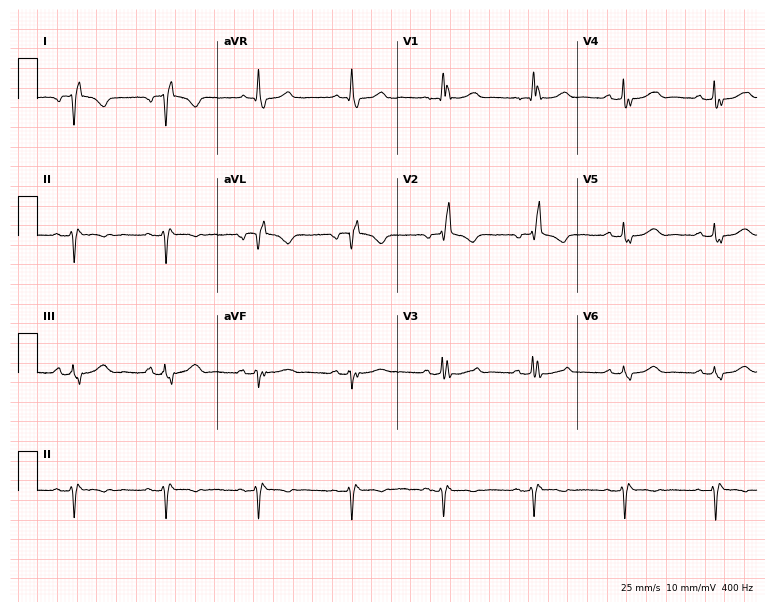
Resting 12-lead electrocardiogram. Patient: a 67-year-old female. None of these six findings is recorded: first-degree AV block, right bundle branch block, left bundle branch block, sinus bradycardia, atrial fibrillation, sinus tachycardia.